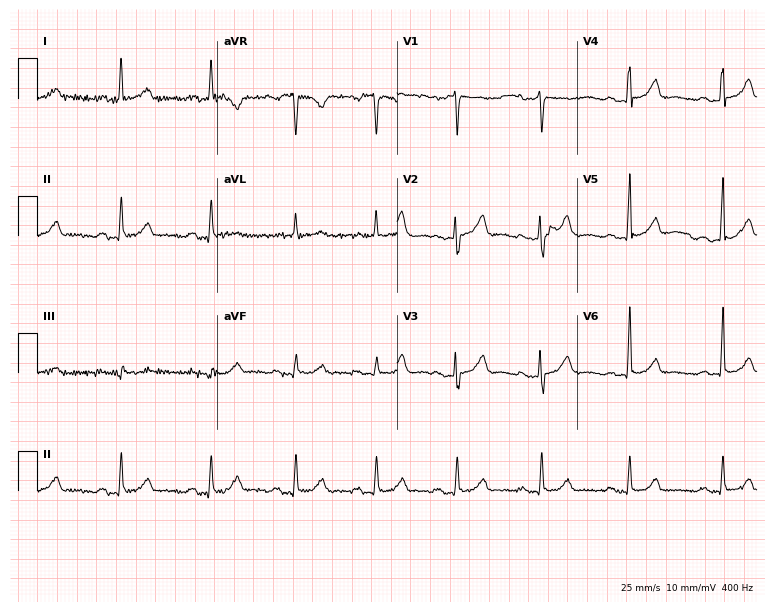
Electrocardiogram (7.3-second recording at 400 Hz), a 65-year-old woman. Overall reading on record: normal ECG.